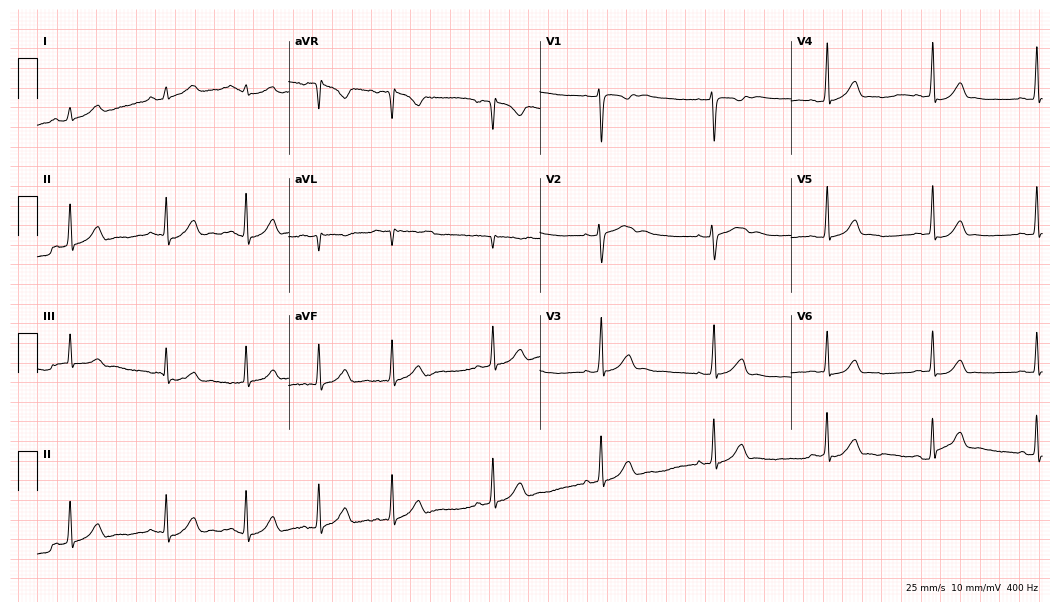
12-lead ECG from a 23-year-old woman. Labelled as a normal ECG.